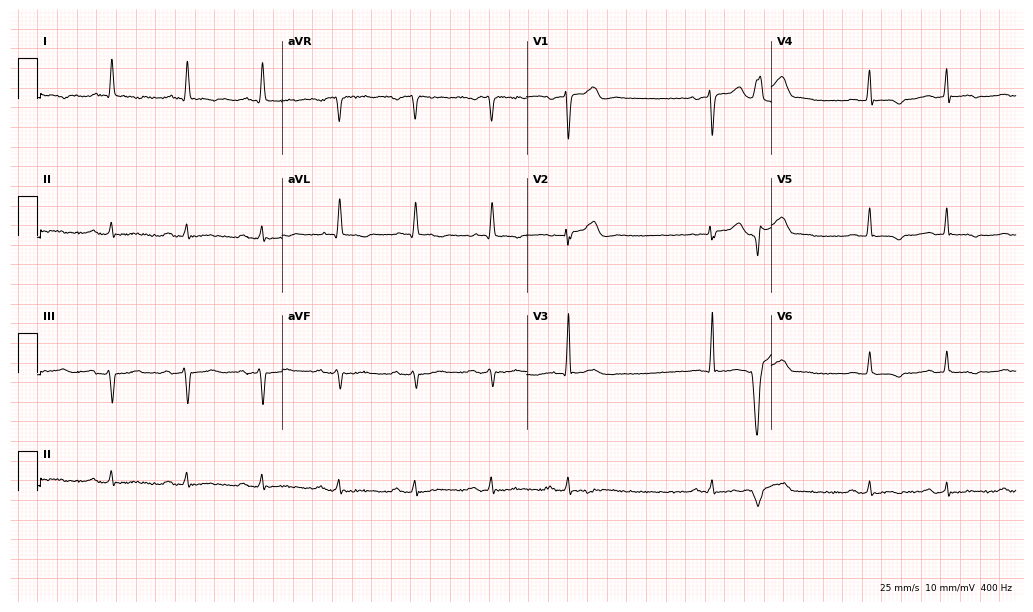
Standard 12-lead ECG recorded from an 86-year-old female patient. None of these six findings is recorded: first-degree AV block, right bundle branch block, left bundle branch block, sinus bradycardia, atrial fibrillation, sinus tachycardia. Other findings, if any, are not listed.